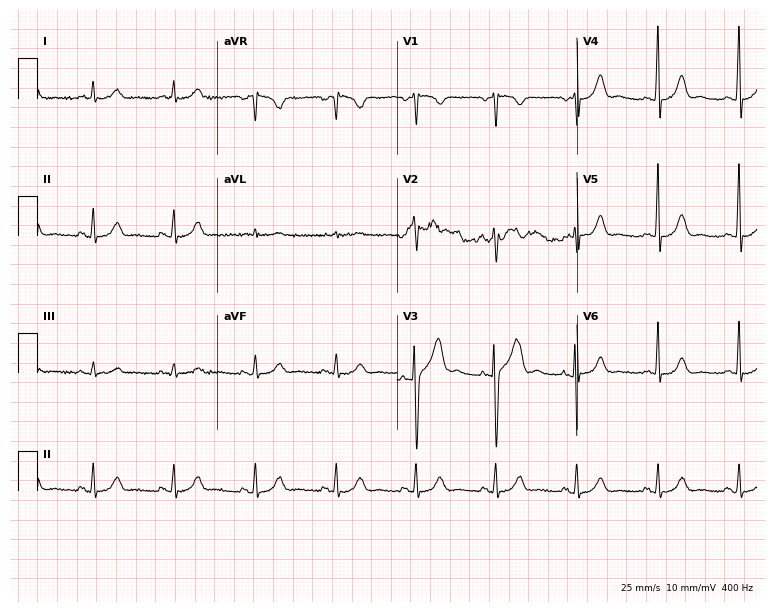
Standard 12-lead ECG recorded from a 58-year-old man (7.3-second recording at 400 Hz). Read as a normal ECG.